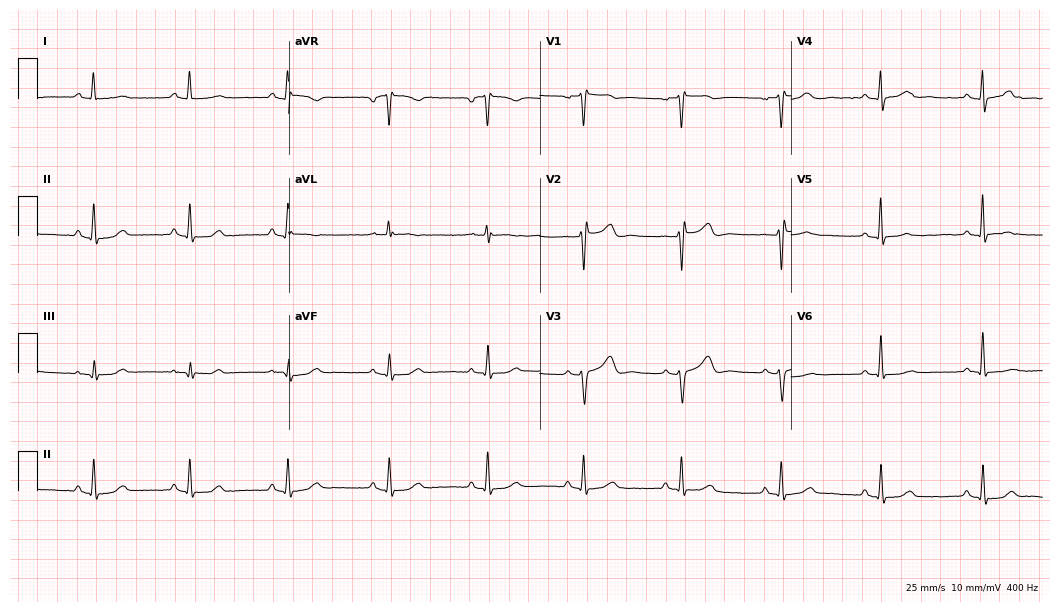
12-lead ECG from a woman, 51 years old (10.2-second recording at 400 Hz). Recorded interpretation: within normal limits.